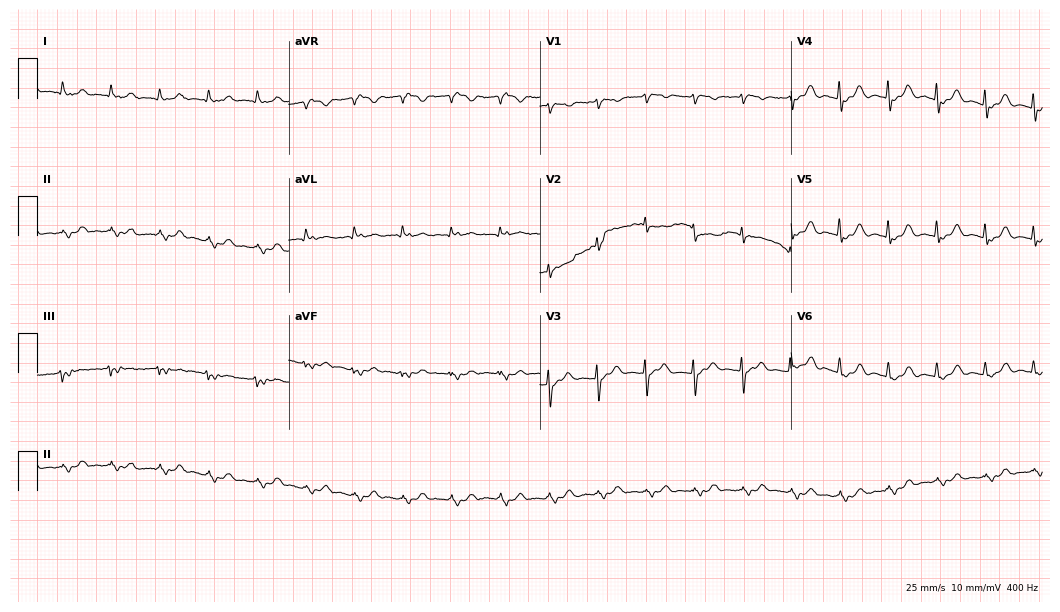
12-lead ECG (10.2-second recording at 400 Hz) from an 83-year-old woman. Findings include sinus tachycardia (a sinus rate of 100 beats per minute or more).